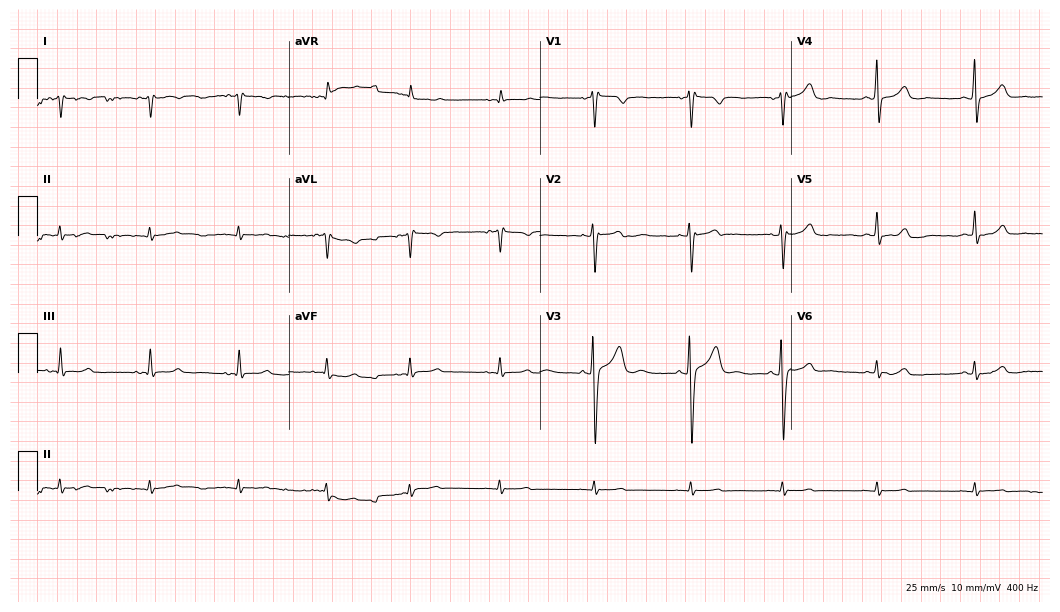
Standard 12-lead ECG recorded from a female patient, 27 years old. None of these six findings is recorded: first-degree AV block, right bundle branch block (RBBB), left bundle branch block (LBBB), sinus bradycardia, atrial fibrillation (AF), sinus tachycardia. Only these six findings were labelled.